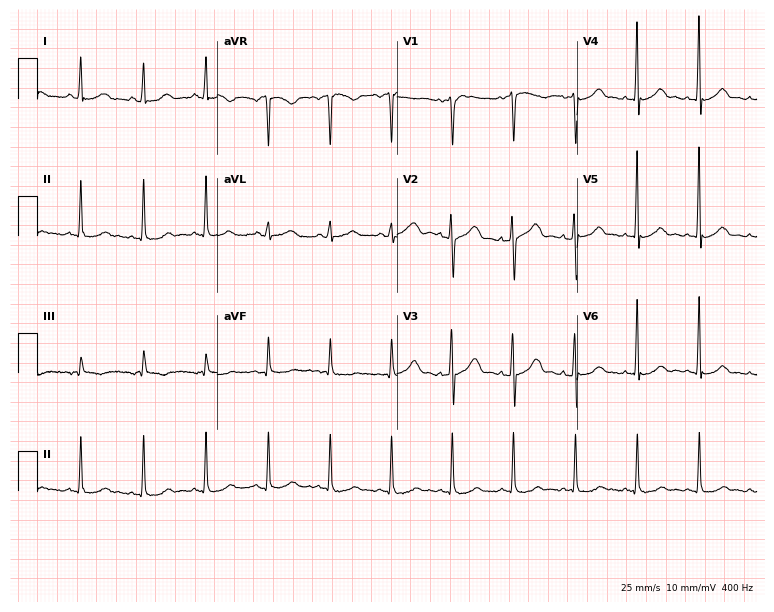
Electrocardiogram, a female, 38 years old. Of the six screened findings (first-degree AV block, right bundle branch block (RBBB), left bundle branch block (LBBB), sinus bradycardia, atrial fibrillation (AF), sinus tachycardia), none is recorded. Only these six findings were labelled.